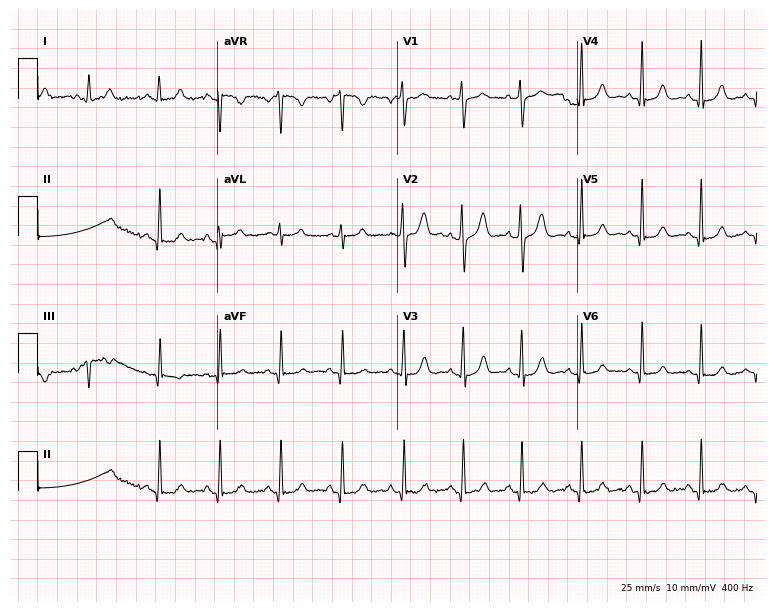
Resting 12-lead electrocardiogram (7.3-second recording at 400 Hz). Patient: a female, 37 years old. None of these six findings is recorded: first-degree AV block, right bundle branch block, left bundle branch block, sinus bradycardia, atrial fibrillation, sinus tachycardia. Findings outside these six are not listed.